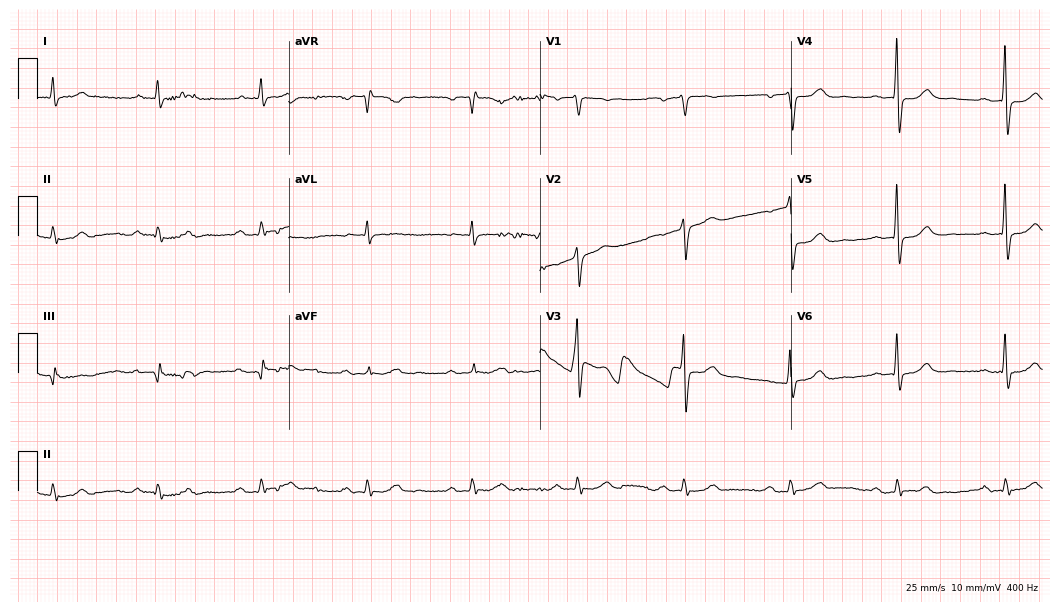
12-lead ECG from a male patient, 68 years old. Findings include atrial fibrillation (AF).